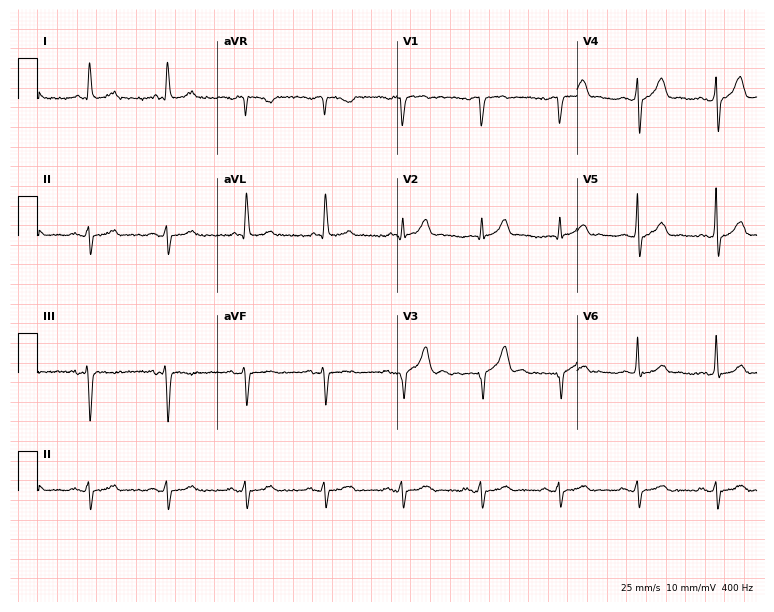
Standard 12-lead ECG recorded from a 66-year-old male (7.3-second recording at 400 Hz). None of these six findings is recorded: first-degree AV block, right bundle branch block, left bundle branch block, sinus bradycardia, atrial fibrillation, sinus tachycardia. Only these six findings were labelled.